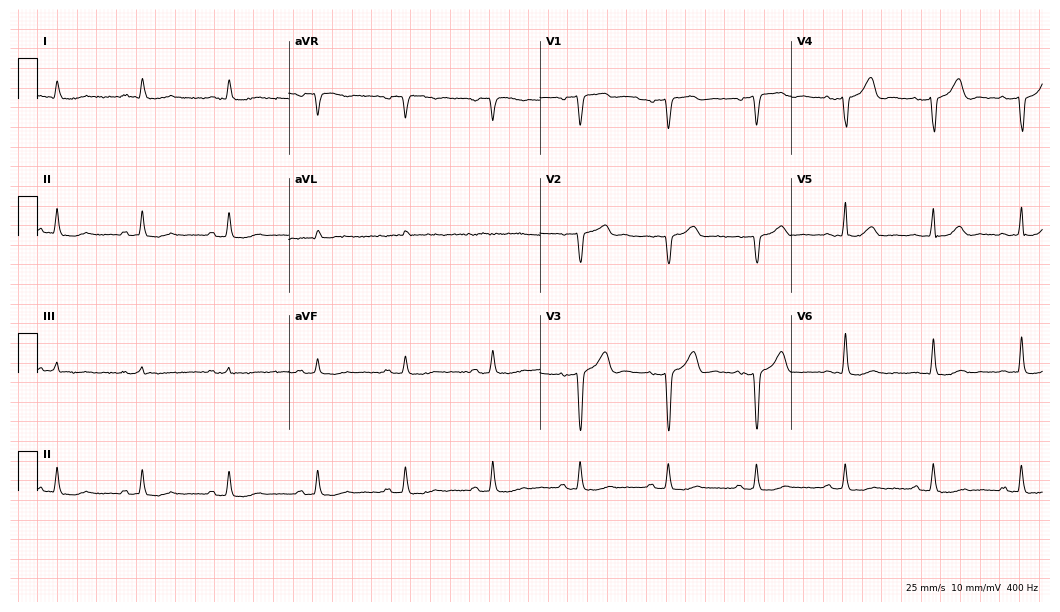
12-lead ECG from a man, 82 years old. Screened for six findings — first-degree AV block, right bundle branch block, left bundle branch block, sinus bradycardia, atrial fibrillation, sinus tachycardia — none is recorded. Only these six findings were labelled.